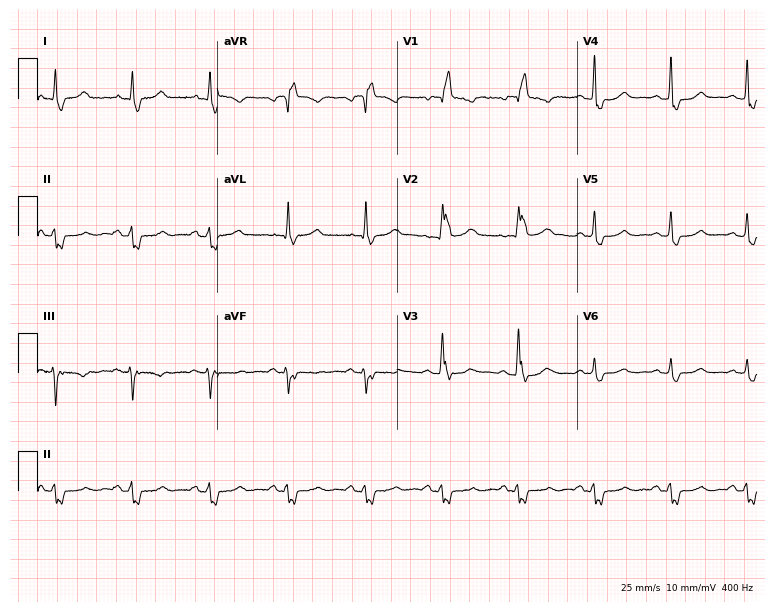
Standard 12-lead ECG recorded from a 61-year-old female (7.3-second recording at 400 Hz). The tracing shows right bundle branch block (RBBB).